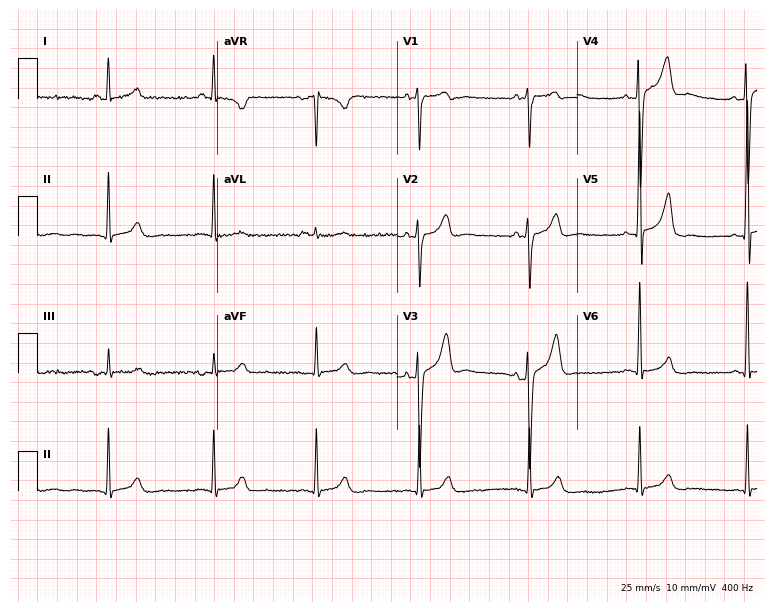
12-lead ECG (7.3-second recording at 400 Hz) from a man, 43 years old. Labelled as a normal ECG.